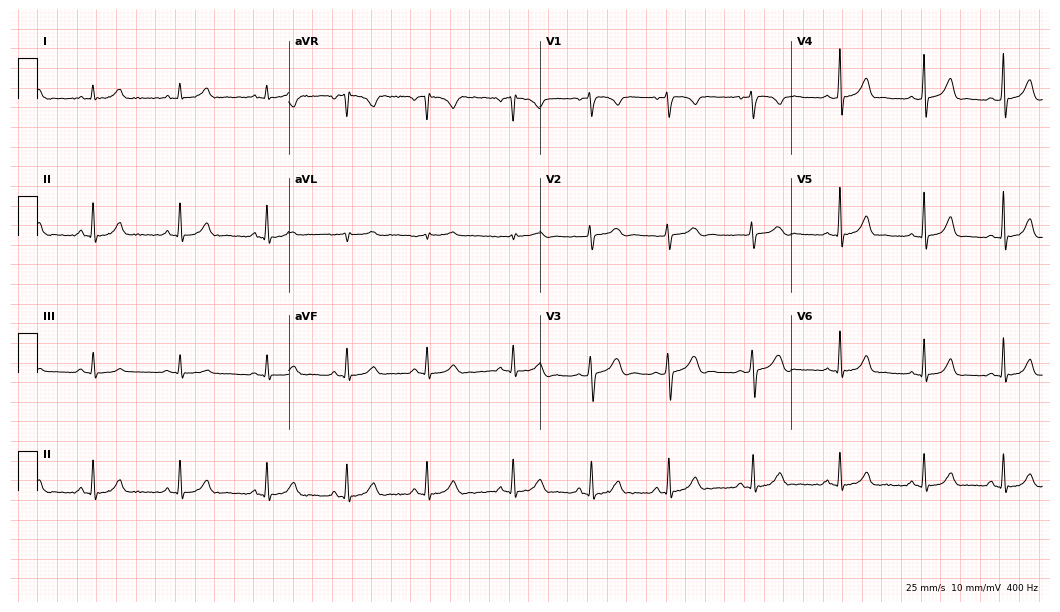
Standard 12-lead ECG recorded from a woman, 20 years old (10.2-second recording at 400 Hz). Read as a normal ECG.